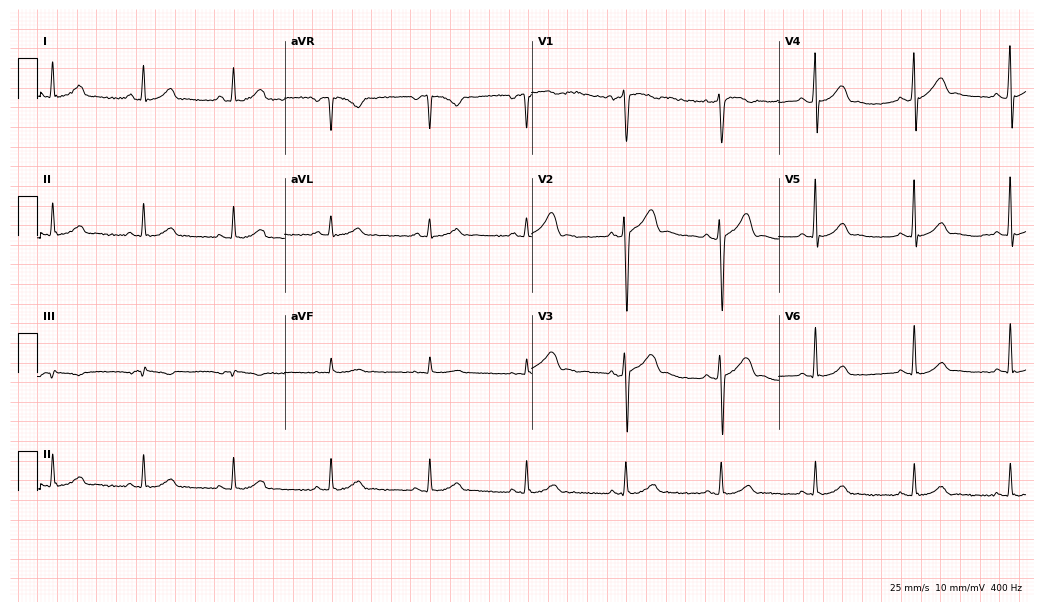
12-lead ECG from a male patient, 20 years old (10.1-second recording at 400 Hz). Recorded interpretation: within normal limits.